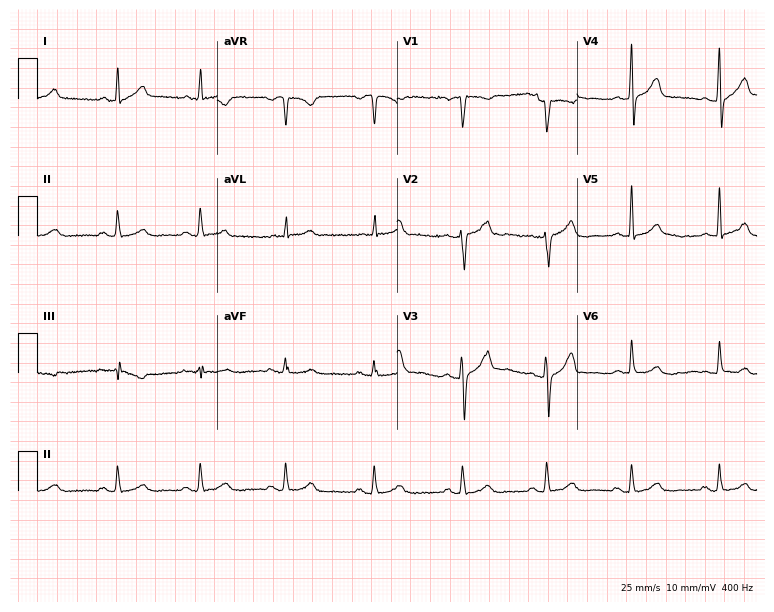
Standard 12-lead ECG recorded from a 50-year-old man. Read as a normal ECG.